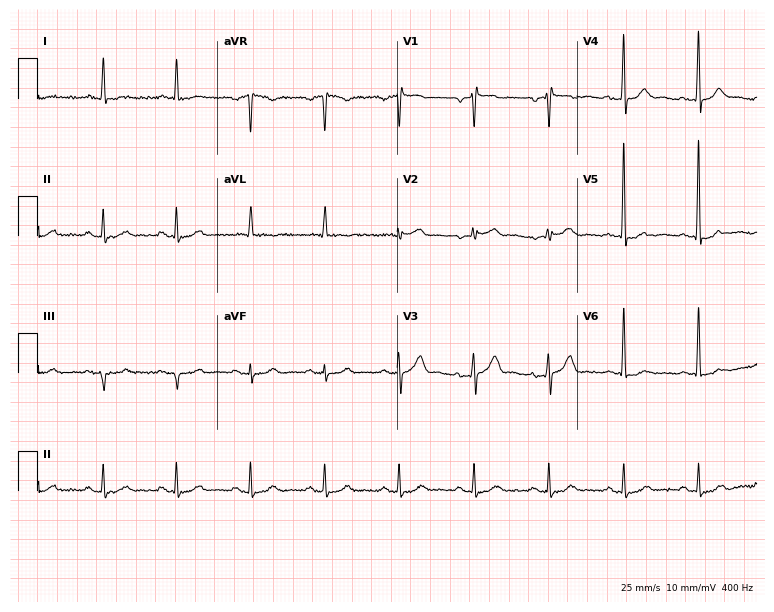
Electrocardiogram, a 72-year-old man. Of the six screened findings (first-degree AV block, right bundle branch block (RBBB), left bundle branch block (LBBB), sinus bradycardia, atrial fibrillation (AF), sinus tachycardia), none is recorded.